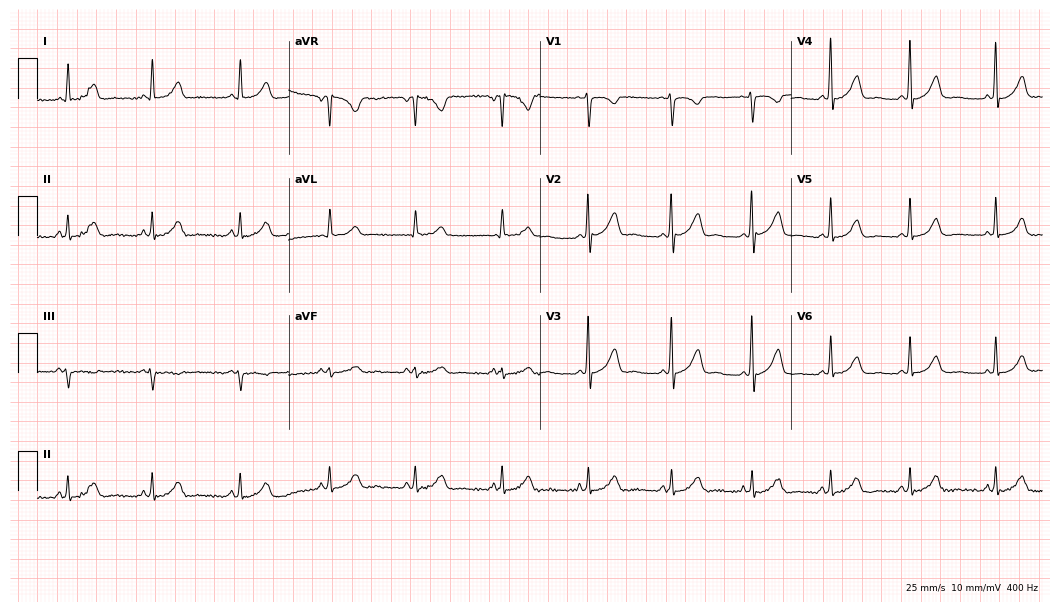
ECG — a 37-year-old female. Labelled as a normal ECG.